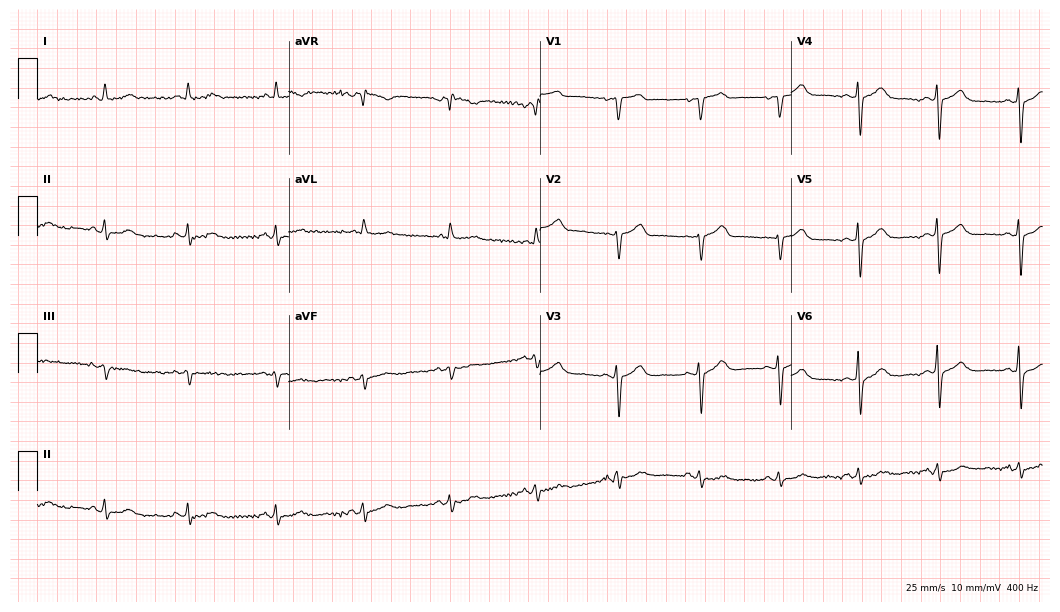
Standard 12-lead ECG recorded from a 71-year-old woman (10.2-second recording at 400 Hz). Read as a normal ECG.